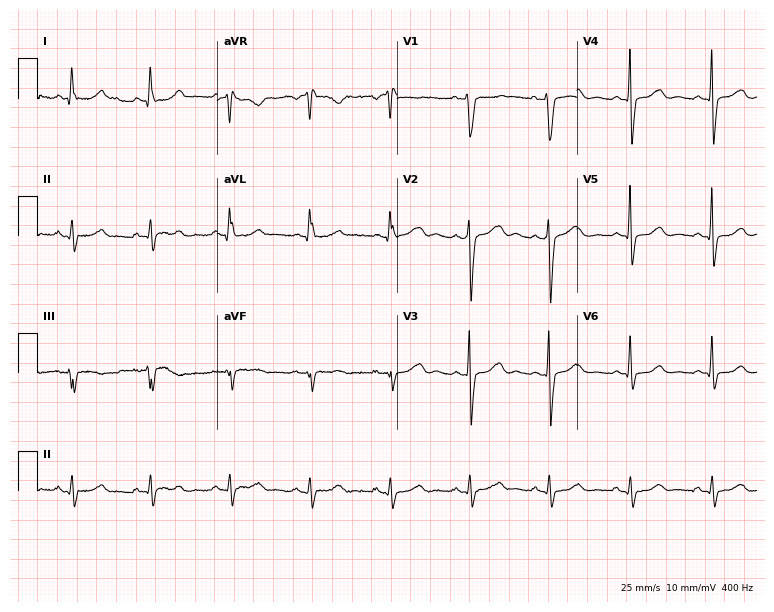
Resting 12-lead electrocardiogram. Patient: a woman, 48 years old. None of these six findings is recorded: first-degree AV block, right bundle branch block, left bundle branch block, sinus bradycardia, atrial fibrillation, sinus tachycardia.